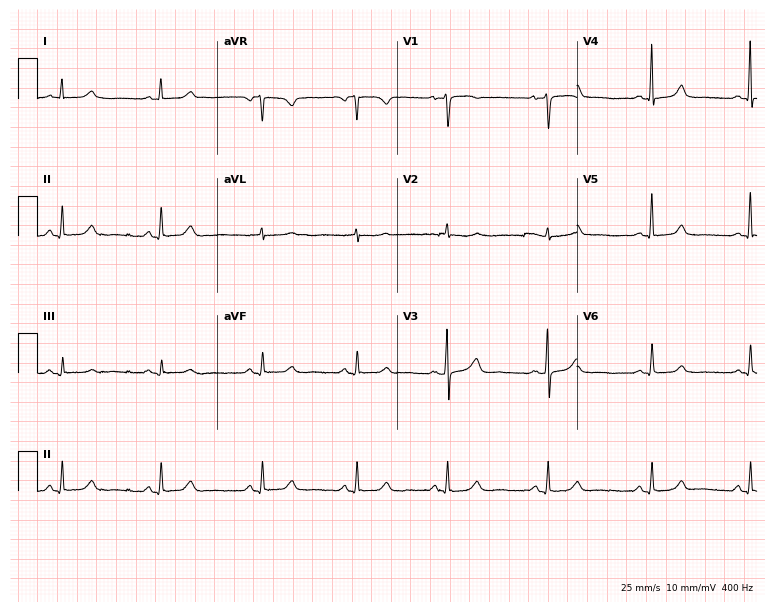
12-lead ECG (7.3-second recording at 400 Hz) from a female, 43 years old. Labelled as a normal ECG.